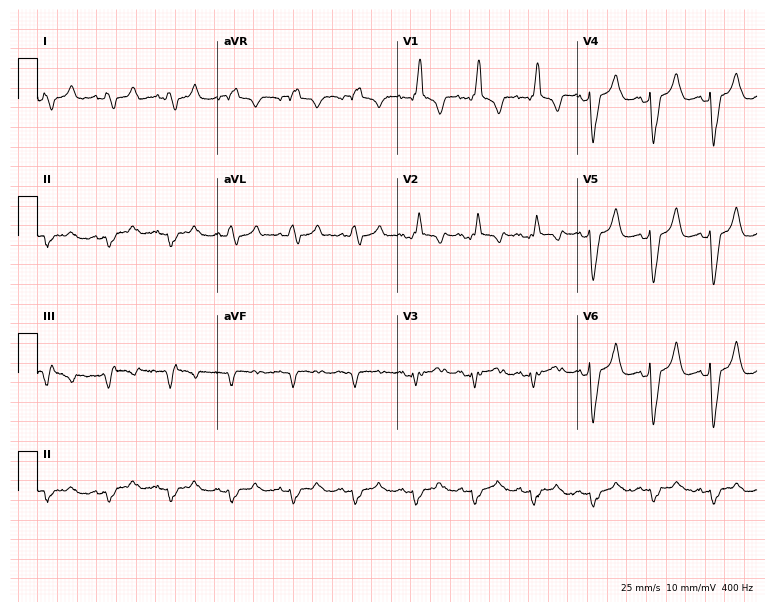
Resting 12-lead electrocardiogram. Patient: a 79-year-old male. The tracing shows right bundle branch block (RBBB).